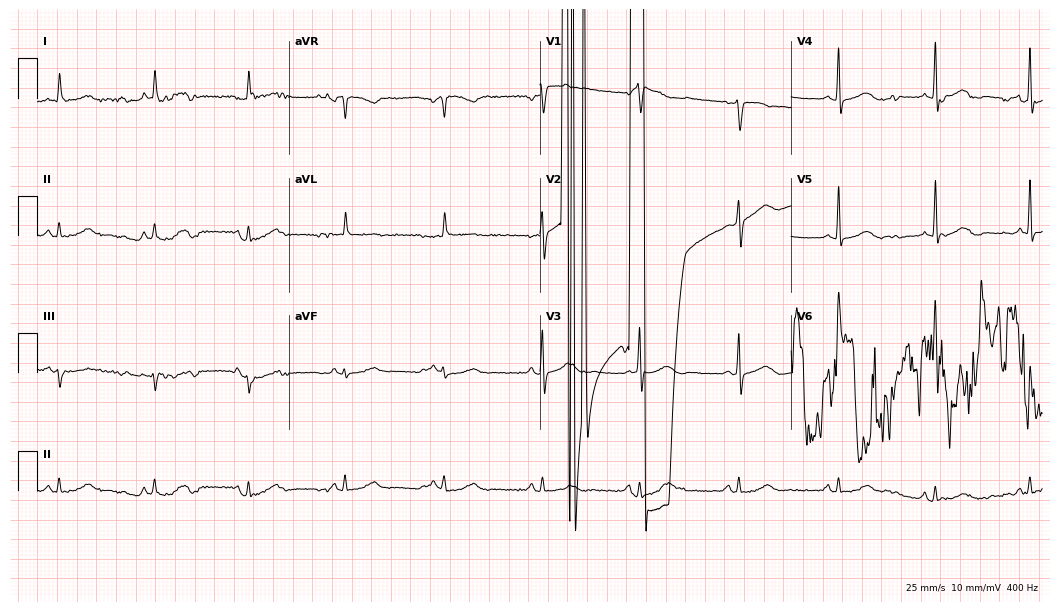
12-lead ECG from a woman, 73 years old. Screened for six findings — first-degree AV block, right bundle branch block, left bundle branch block, sinus bradycardia, atrial fibrillation, sinus tachycardia — none is recorded. Other findings, if any, are not listed.